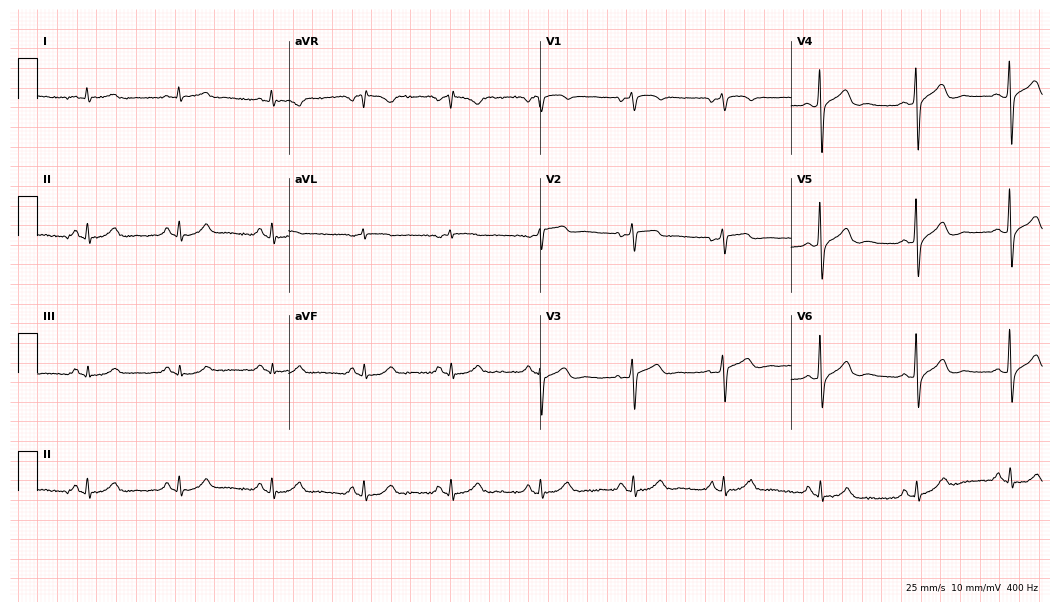
Resting 12-lead electrocardiogram. Patient: a 56-year-old male. None of these six findings is recorded: first-degree AV block, right bundle branch block, left bundle branch block, sinus bradycardia, atrial fibrillation, sinus tachycardia. Only these six findings were labelled.